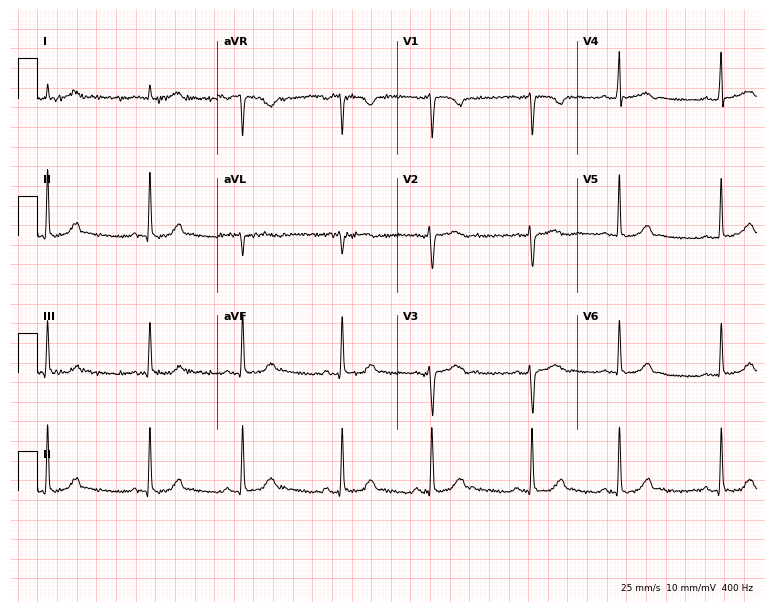
Electrocardiogram (7.3-second recording at 400 Hz), a 19-year-old female. Overall reading on record: normal ECG.